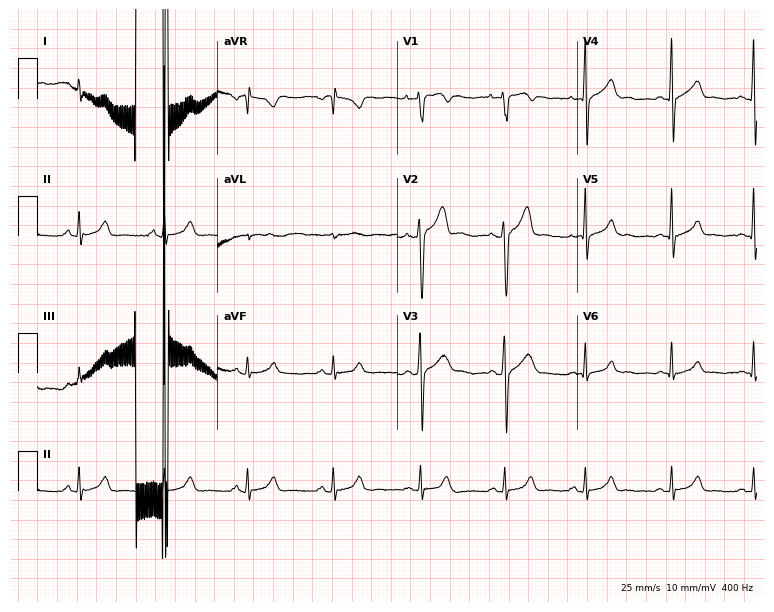
Electrocardiogram, a 20-year-old male. Overall reading on record: normal ECG.